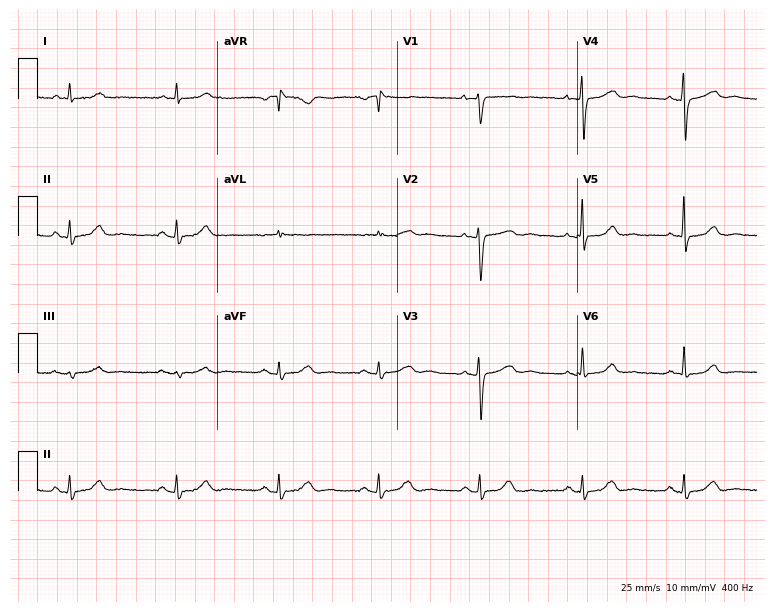
12-lead ECG from a 52-year-old female (7.3-second recording at 400 Hz). No first-degree AV block, right bundle branch block, left bundle branch block, sinus bradycardia, atrial fibrillation or sinus tachycardia recorded for this tracing.